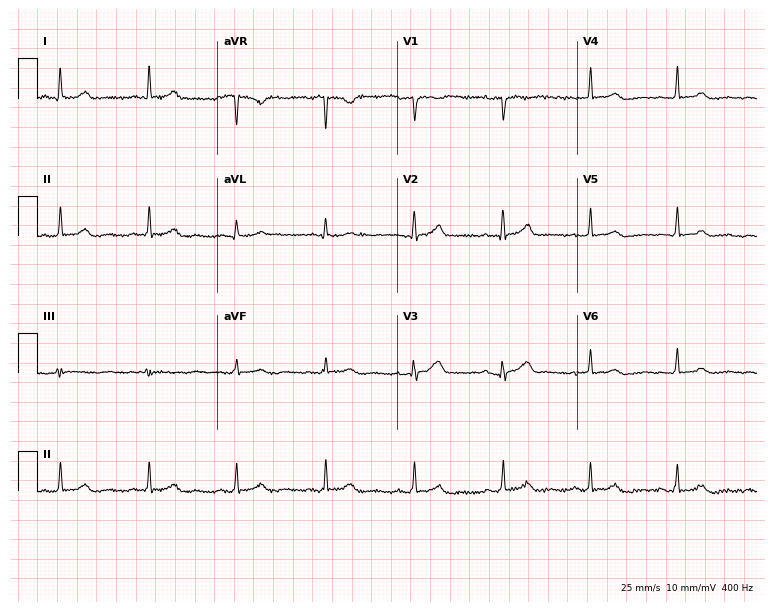
12-lead ECG from a female patient, 64 years old. Recorded interpretation: within normal limits.